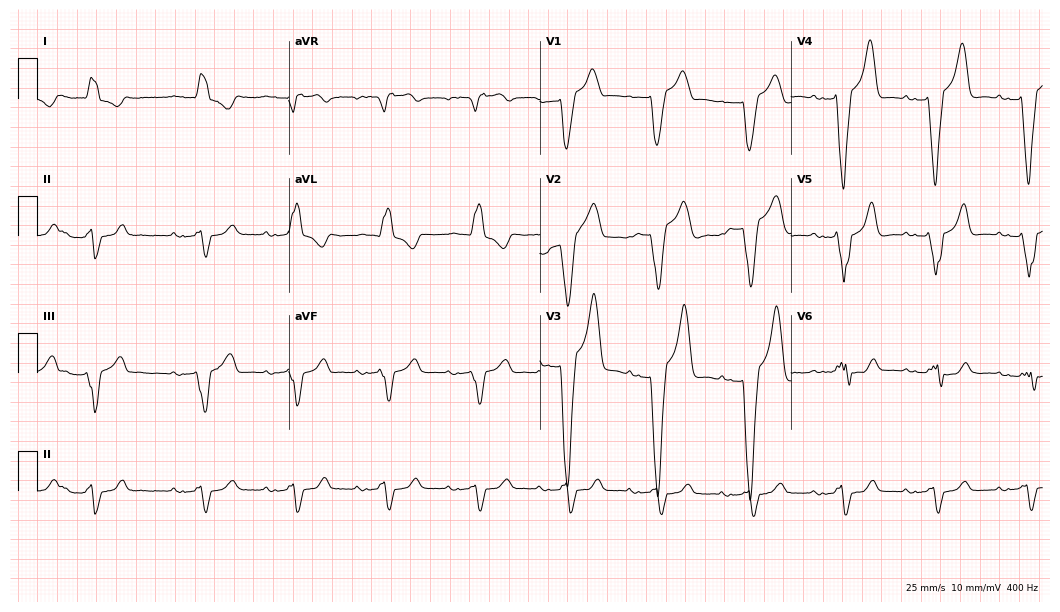
Standard 12-lead ECG recorded from a man, 54 years old (10.2-second recording at 400 Hz). The tracing shows first-degree AV block, left bundle branch block.